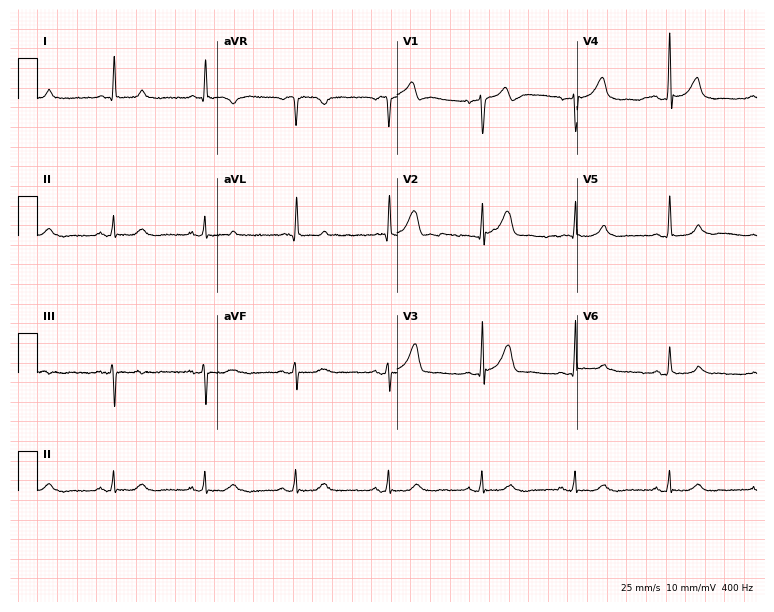
ECG — a male patient, 61 years old. Labelled as a normal ECG.